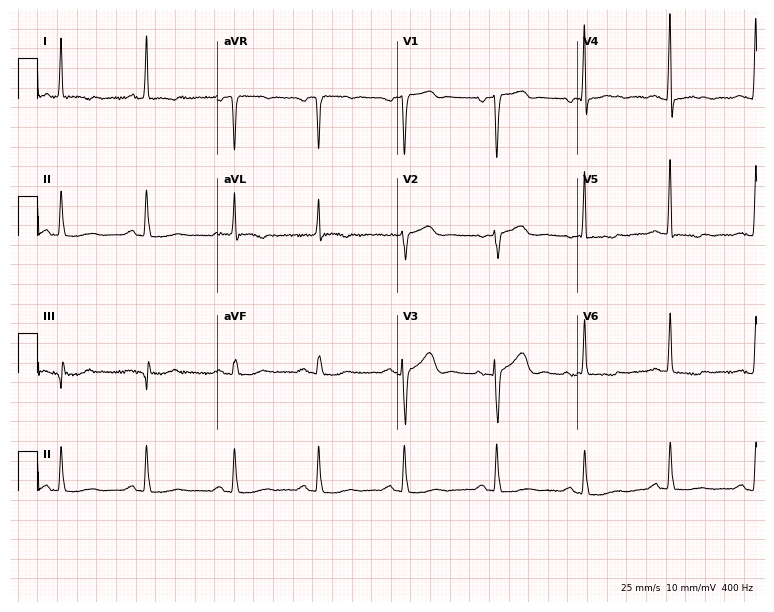
12-lead ECG (7.3-second recording at 400 Hz) from a 56-year-old female. Screened for six findings — first-degree AV block, right bundle branch block, left bundle branch block, sinus bradycardia, atrial fibrillation, sinus tachycardia — none is recorded. Findings outside these six are not listed.